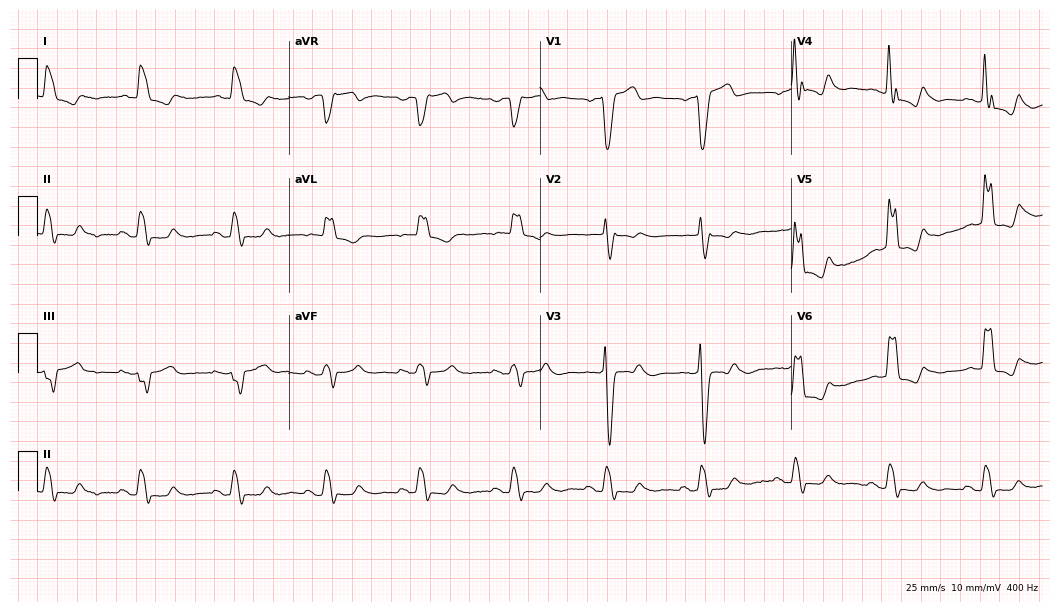
12-lead ECG from a male, 76 years old (10.2-second recording at 400 Hz). Shows left bundle branch block.